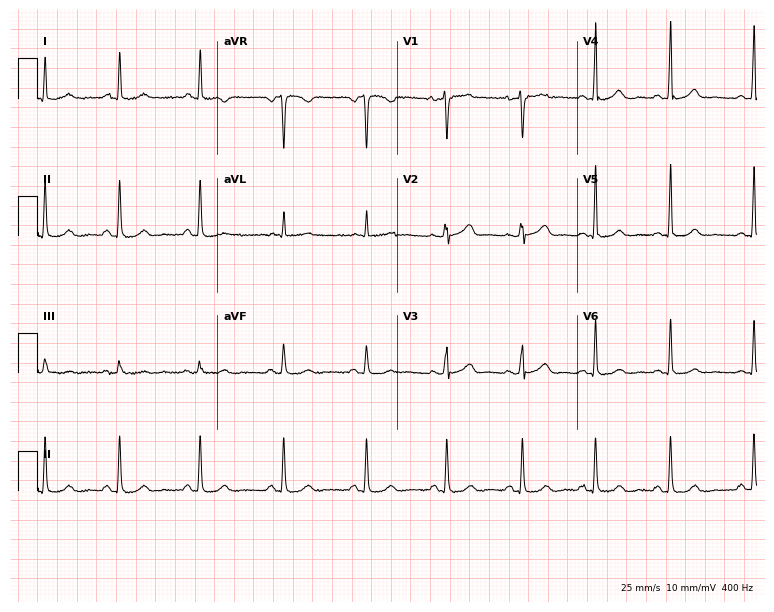
Resting 12-lead electrocardiogram (7.3-second recording at 400 Hz). Patient: a woman, 31 years old. Read as a normal ECG.